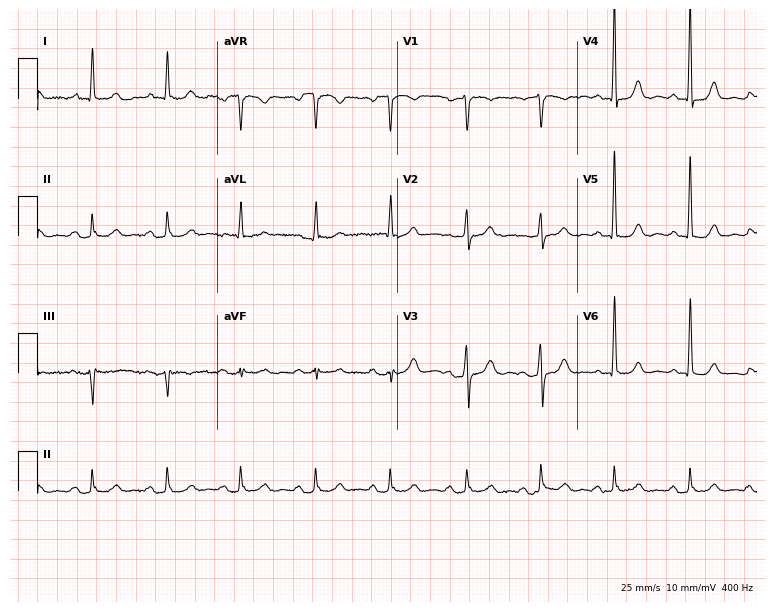
Electrocardiogram, a 74-year-old woman. Overall reading on record: normal ECG.